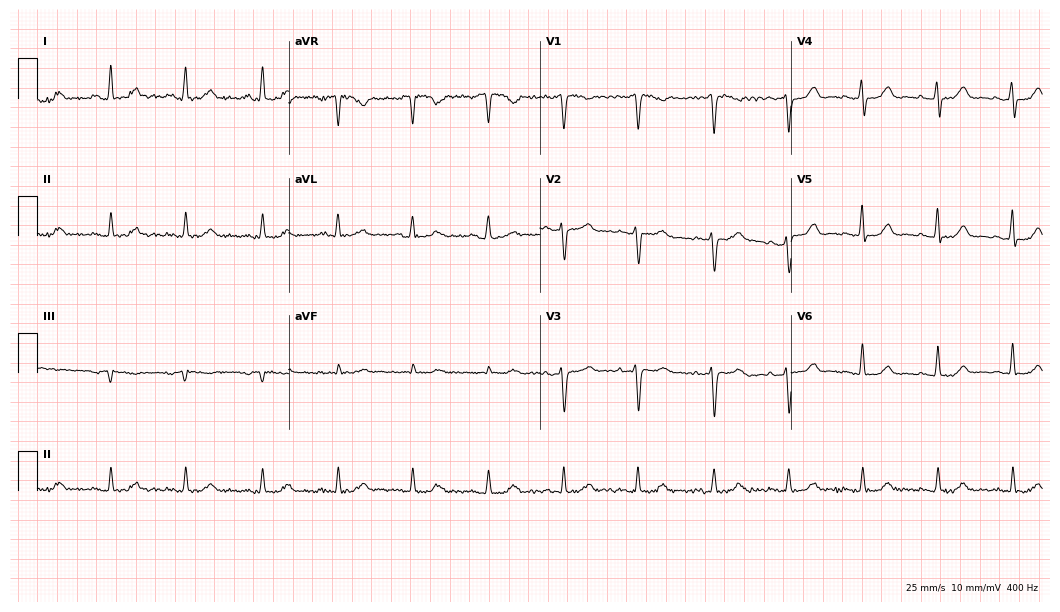
12-lead ECG from a 54-year-old female. No first-degree AV block, right bundle branch block, left bundle branch block, sinus bradycardia, atrial fibrillation or sinus tachycardia recorded for this tracing. Other findings, if any, are not listed.